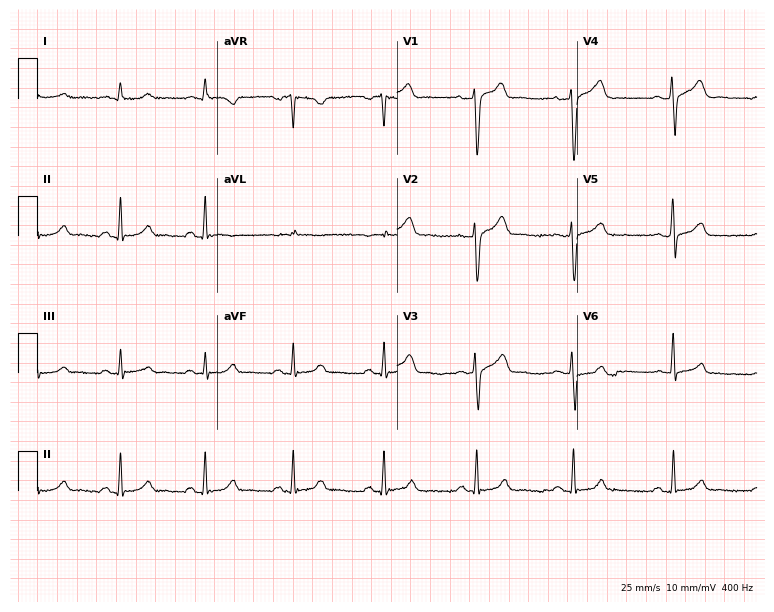
12-lead ECG from a 43-year-old male. Recorded interpretation: within normal limits.